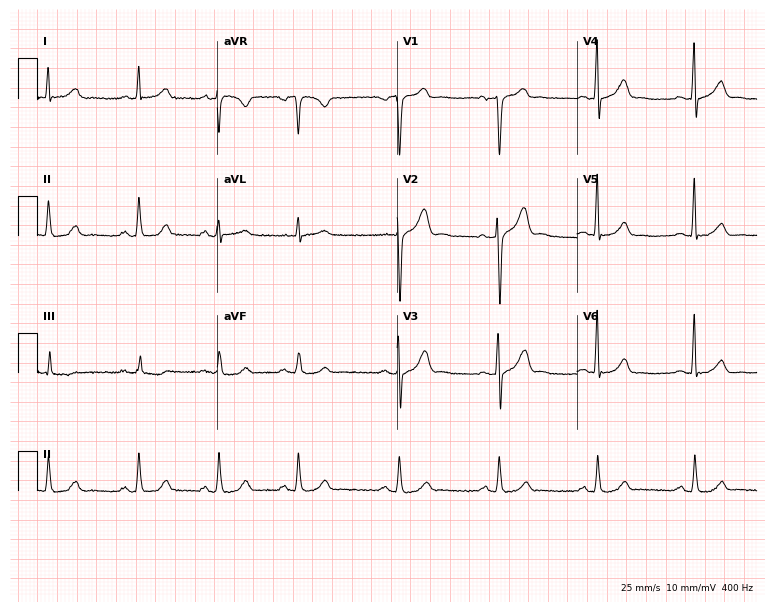
12-lead ECG from a man, 35 years old. Screened for six findings — first-degree AV block, right bundle branch block, left bundle branch block, sinus bradycardia, atrial fibrillation, sinus tachycardia — none is recorded.